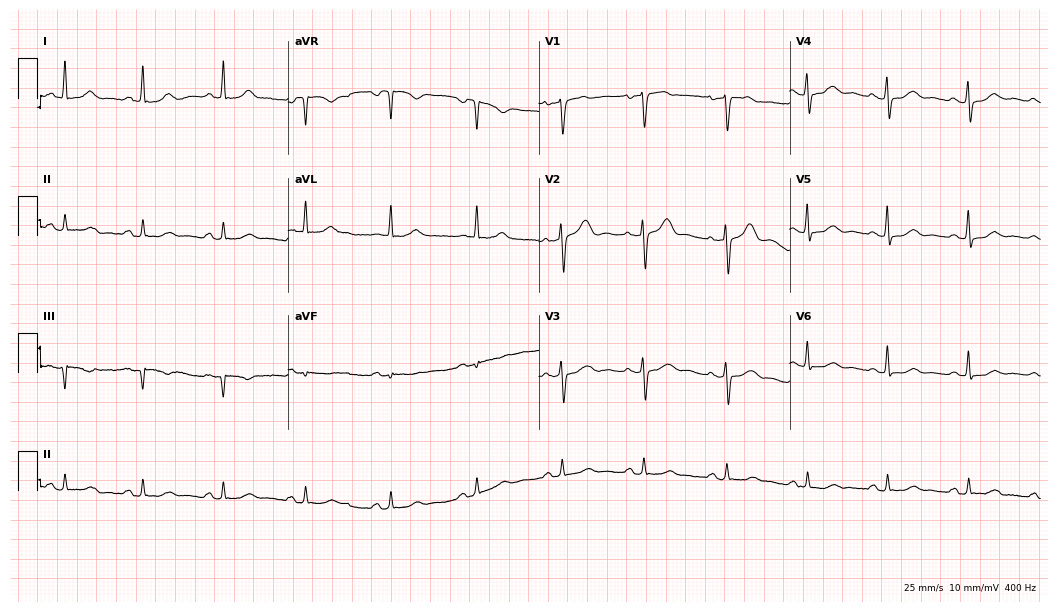
Resting 12-lead electrocardiogram. Patient: a 64-year-old woman. Read as a normal ECG.